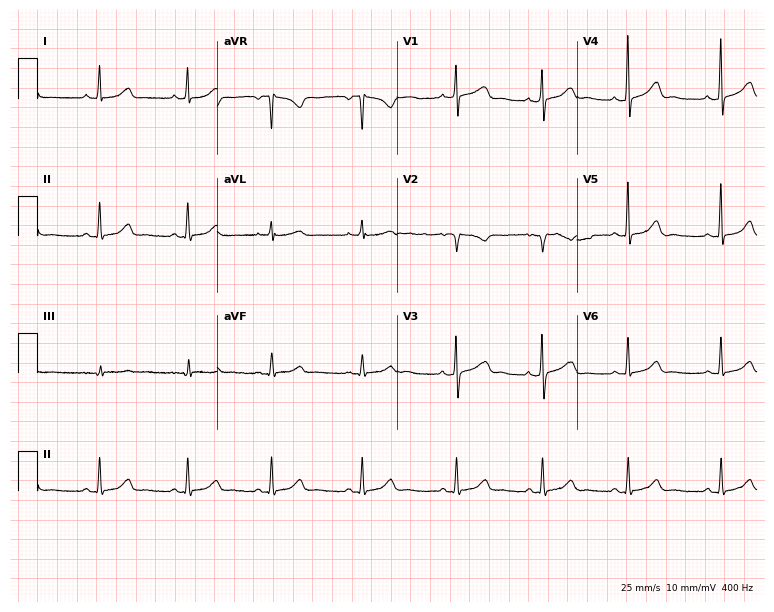
Electrocardiogram (7.3-second recording at 400 Hz), a female, 42 years old. Overall reading on record: normal ECG.